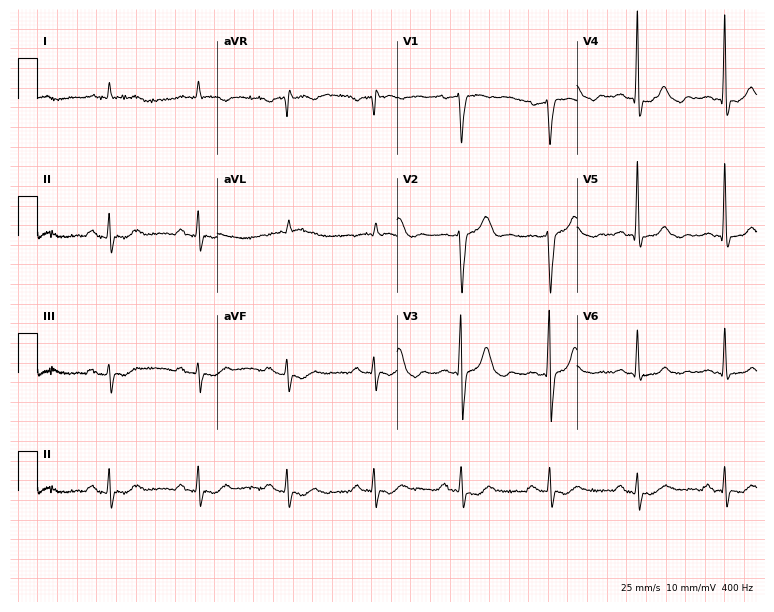
ECG (7.3-second recording at 400 Hz) — a 75-year-old male patient. Screened for six findings — first-degree AV block, right bundle branch block, left bundle branch block, sinus bradycardia, atrial fibrillation, sinus tachycardia — none is recorded.